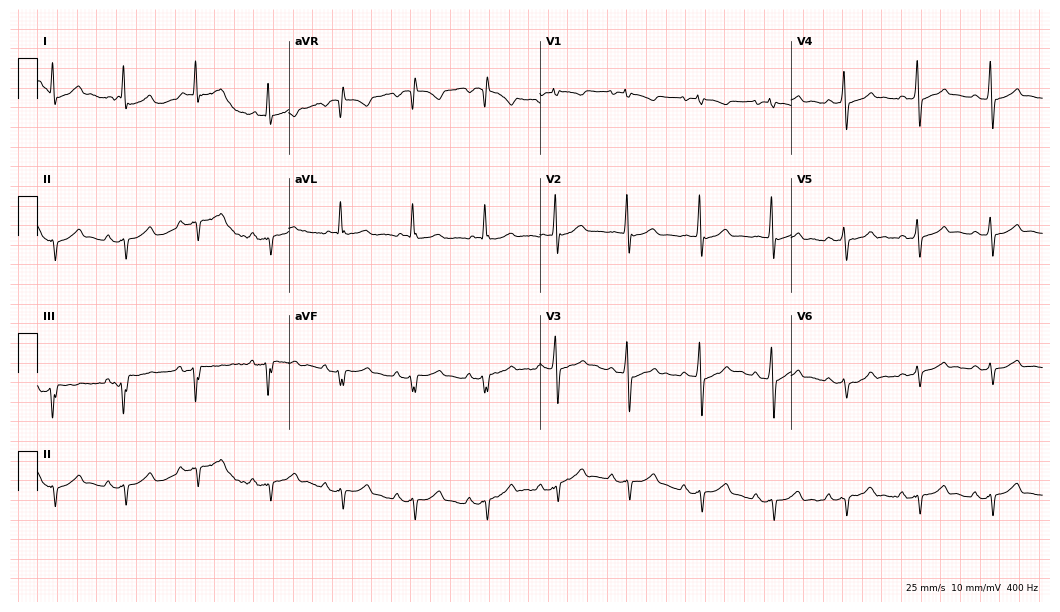
Standard 12-lead ECG recorded from a male, 71 years old (10.2-second recording at 400 Hz). None of these six findings is recorded: first-degree AV block, right bundle branch block, left bundle branch block, sinus bradycardia, atrial fibrillation, sinus tachycardia. Other findings, if any, are not listed.